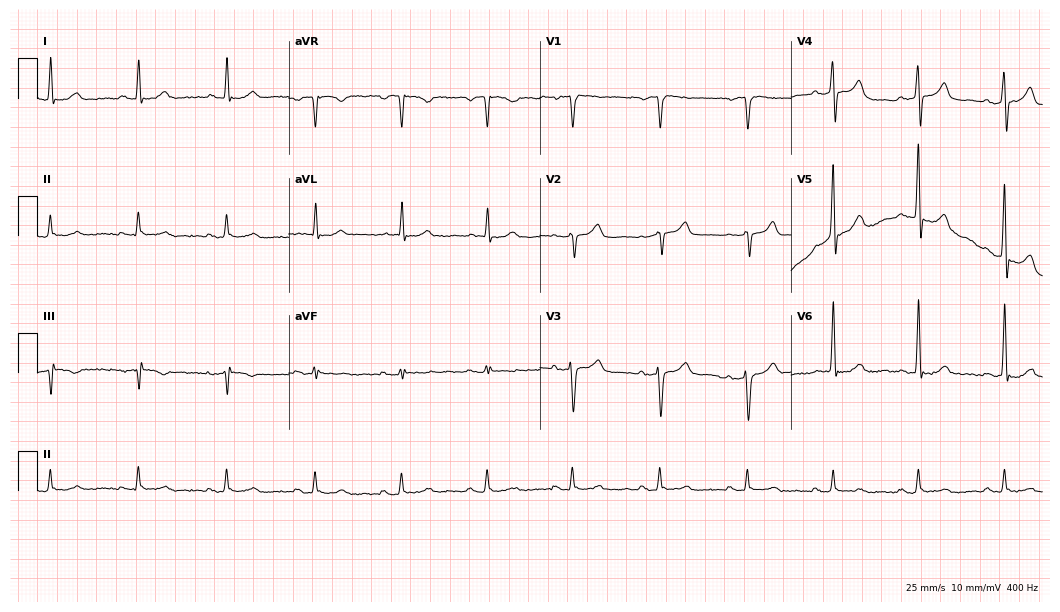
Electrocardiogram, a 73-year-old male. Overall reading on record: normal ECG.